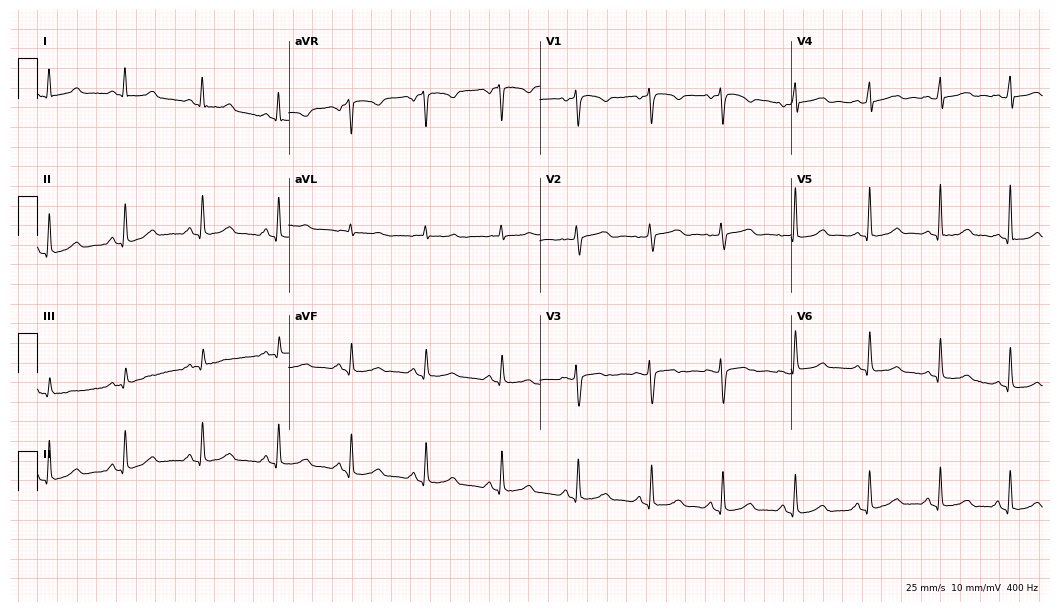
Resting 12-lead electrocardiogram. Patient: a female, 52 years old. Read as a normal ECG.